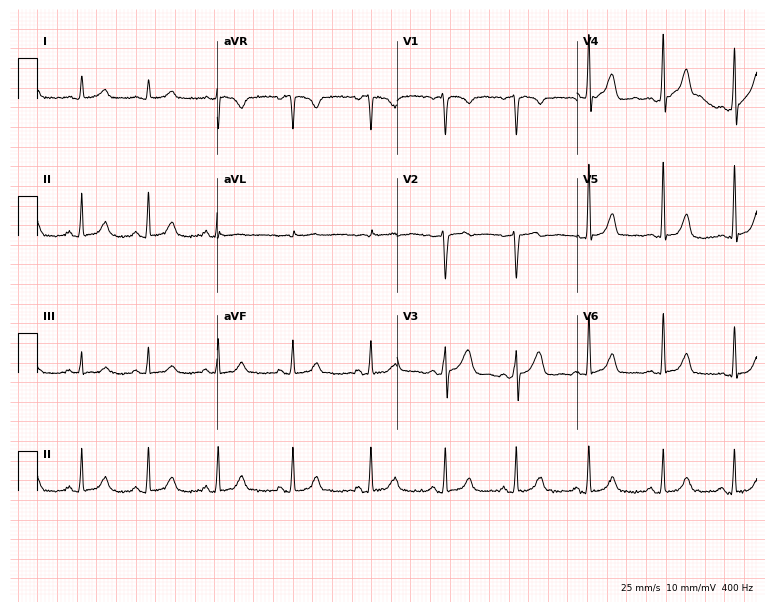
Standard 12-lead ECG recorded from a woman, 47 years old. Read as a normal ECG.